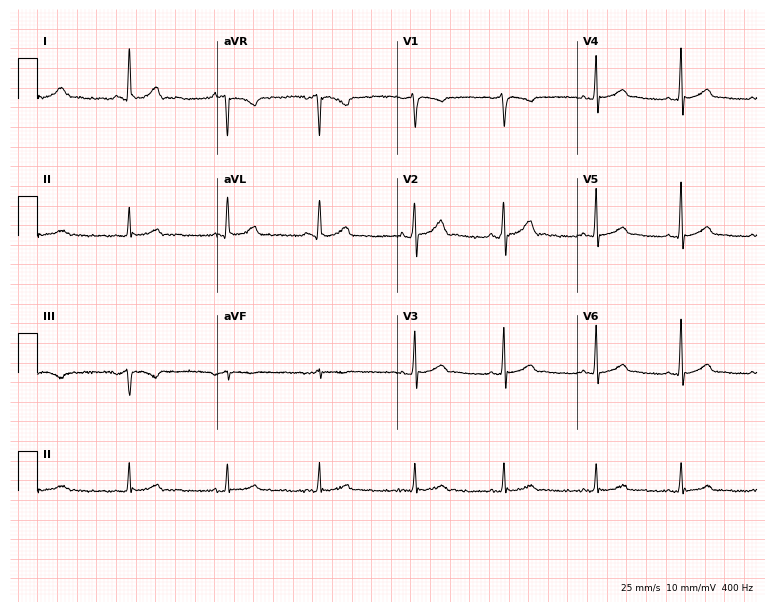
Electrocardiogram (7.3-second recording at 400 Hz), a female patient, 29 years old. Overall reading on record: normal ECG.